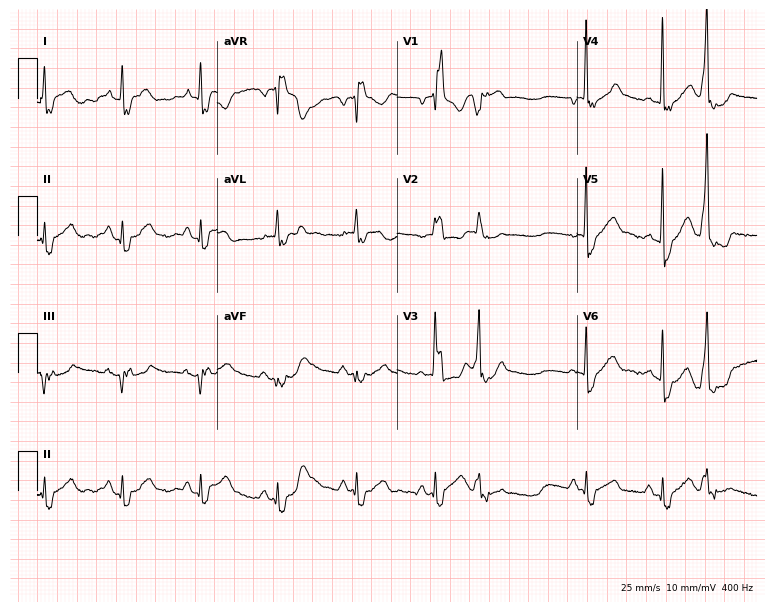
Resting 12-lead electrocardiogram. Patient: a 79-year-old male. The tracing shows right bundle branch block.